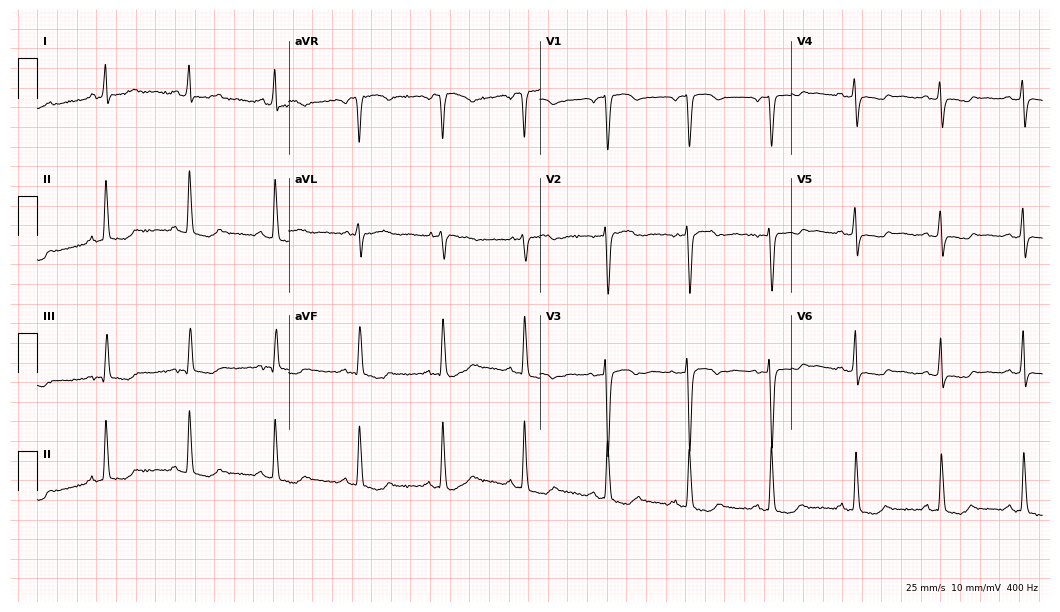
12-lead ECG from a female patient, 46 years old (10.2-second recording at 400 Hz). No first-degree AV block, right bundle branch block, left bundle branch block, sinus bradycardia, atrial fibrillation or sinus tachycardia recorded for this tracing.